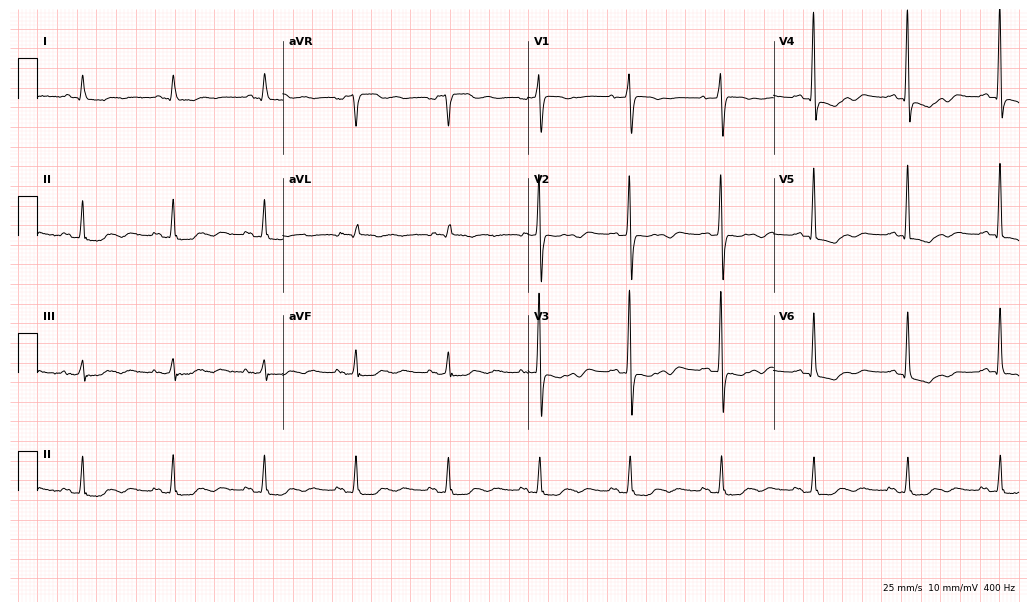
12-lead ECG from a 71-year-old female. No first-degree AV block, right bundle branch block, left bundle branch block, sinus bradycardia, atrial fibrillation or sinus tachycardia recorded for this tracing.